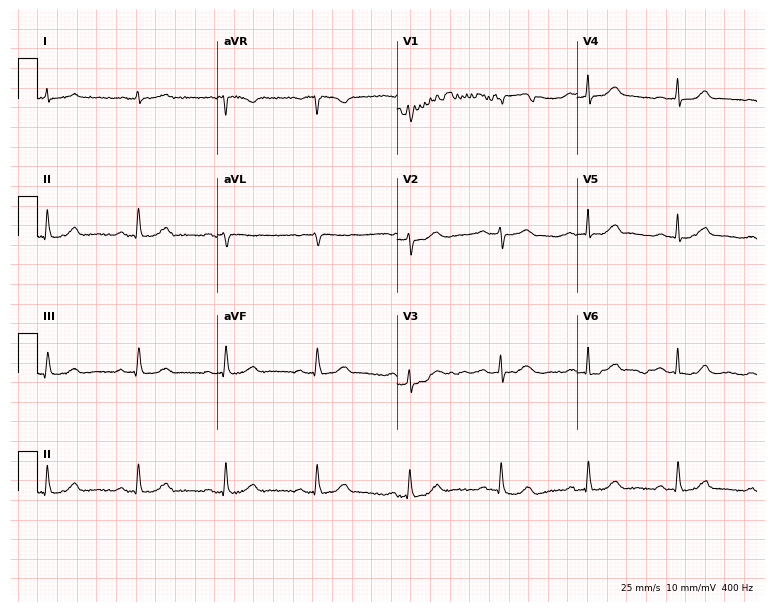
Resting 12-lead electrocardiogram (7.3-second recording at 400 Hz). Patient: a female, 39 years old. Read as a normal ECG.